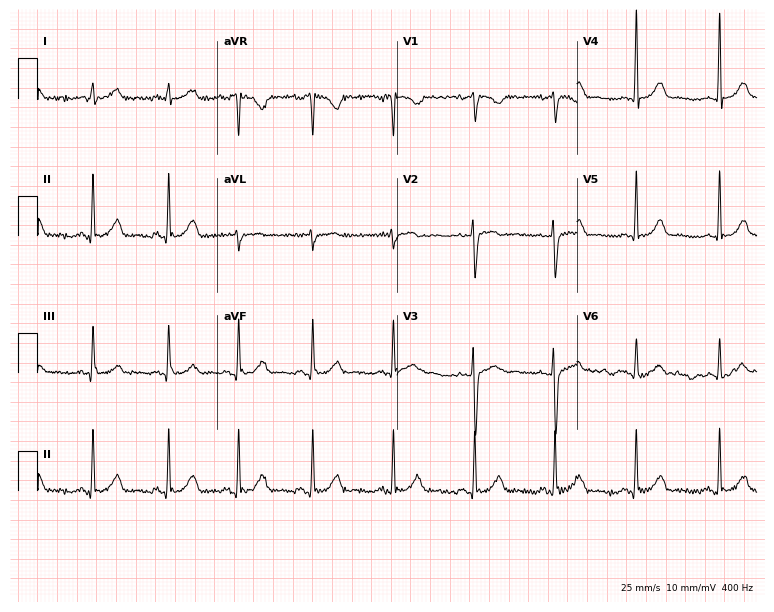
Electrocardiogram, a female, 37 years old. Of the six screened findings (first-degree AV block, right bundle branch block (RBBB), left bundle branch block (LBBB), sinus bradycardia, atrial fibrillation (AF), sinus tachycardia), none is recorded. Findings outside these six are not listed.